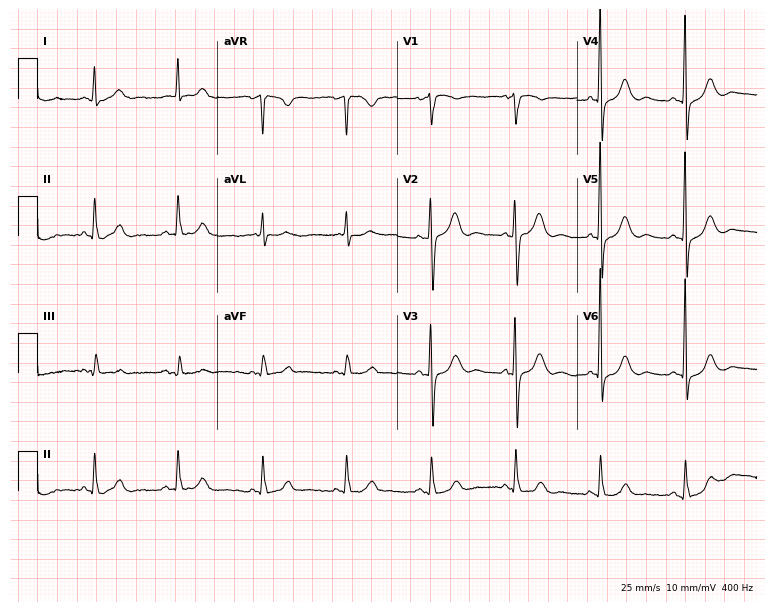
Electrocardiogram, a 73-year-old female patient. Of the six screened findings (first-degree AV block, right bundle branch block, left bundle branch block, sinus bradycardia, atrial fibrillation, sinus tachycardia), none is recorded.